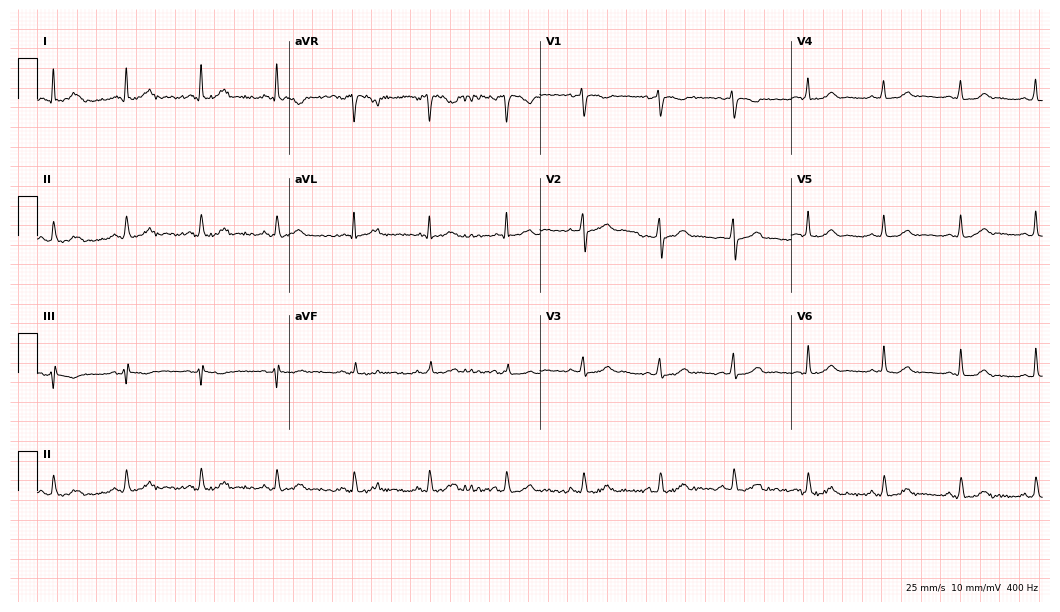
12-lead ECG from a woman, 40 years old (10.2-second recording at 400 Hz). Recorded interpretation: within normal limits.